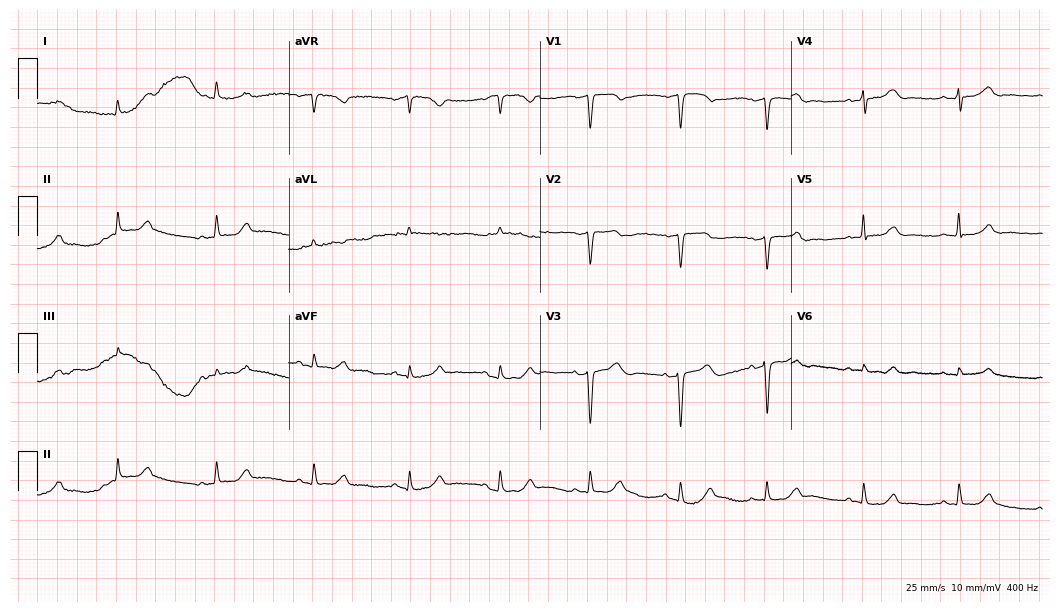
Standard 12-lead ECG recorded from a female, 76 years old. None of these six findings is recorded: first-degree AV block, right bundle branch block, left bundle branch block, sinus bradycardia, atrial fibrillation, sinus tachycardia.